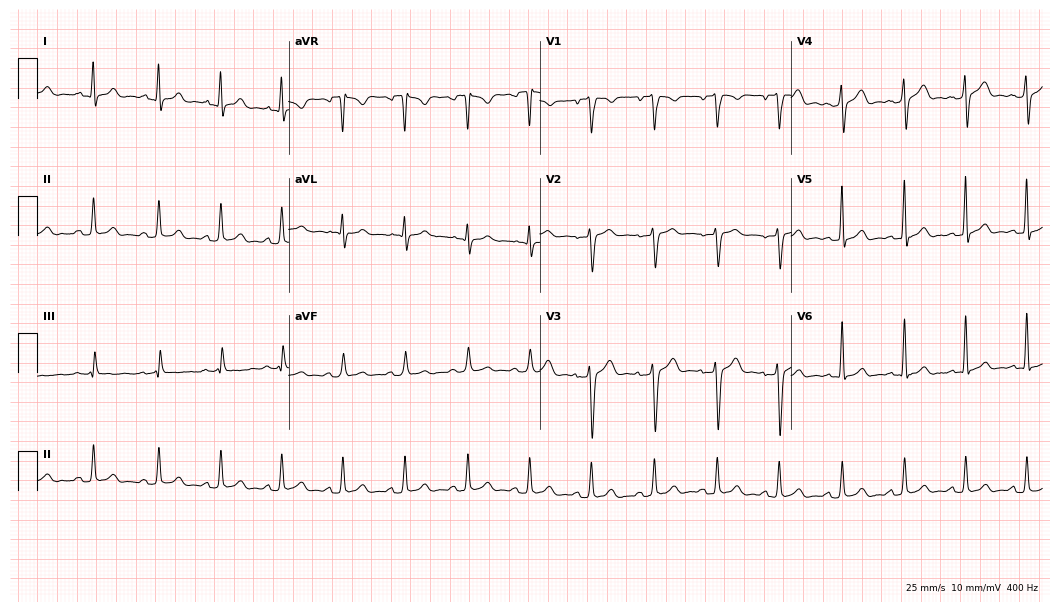
Resting 12-lead electrocardiogram. Patient: a male, 29 years old. Read as a normal ECG.